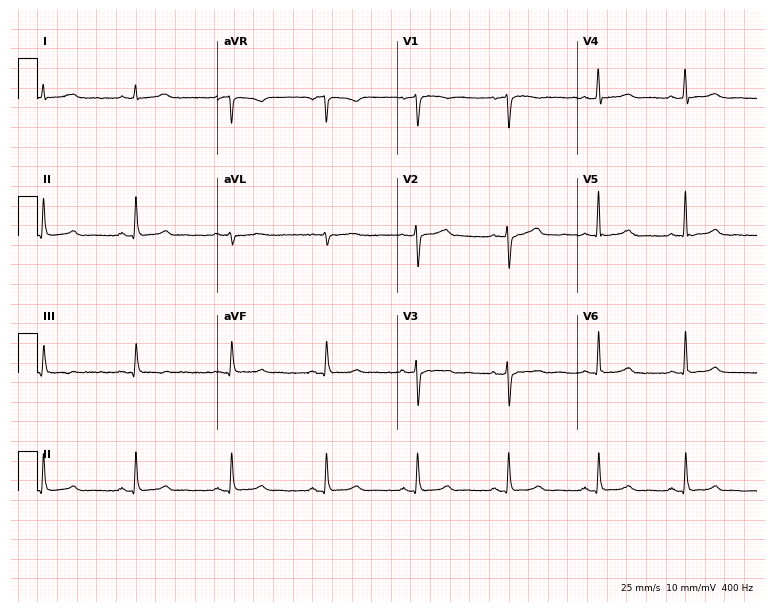
ECG (7.3-second recording at 400 Hz) — a 64-year-old female patient. Labelled as a normal ECG.